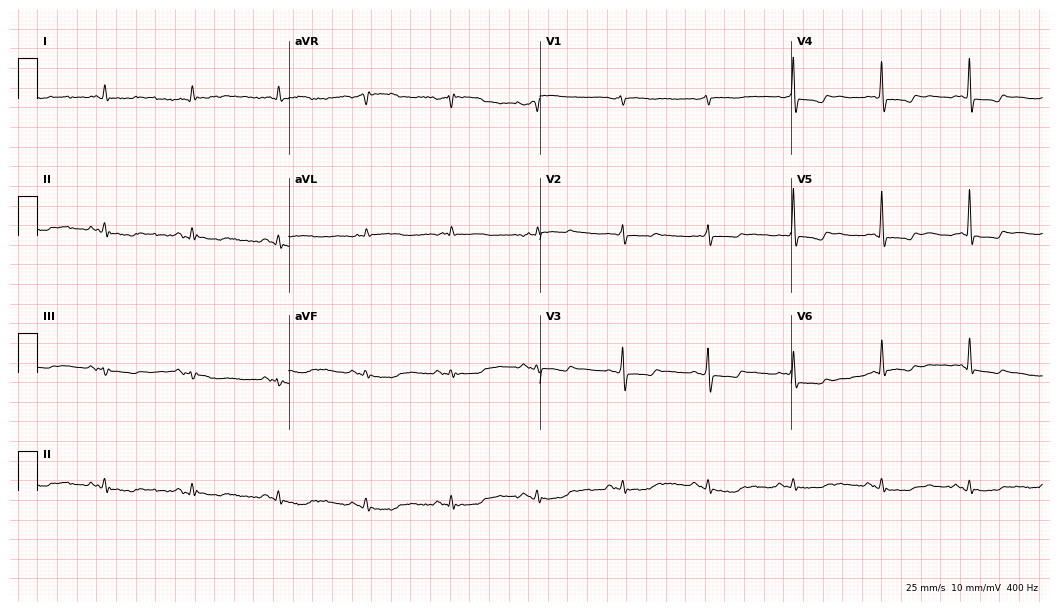
Electrocardiogram (10.2-second recording at 400 Hz), an 85-year-old male. Of the six screened findings (first-degree AV block, right bundle branch block, left bundle branch block, sinus bradycardia, atrial fibrillation, sinus tachycardia), none is recorded. Findings outside these six are not listed.